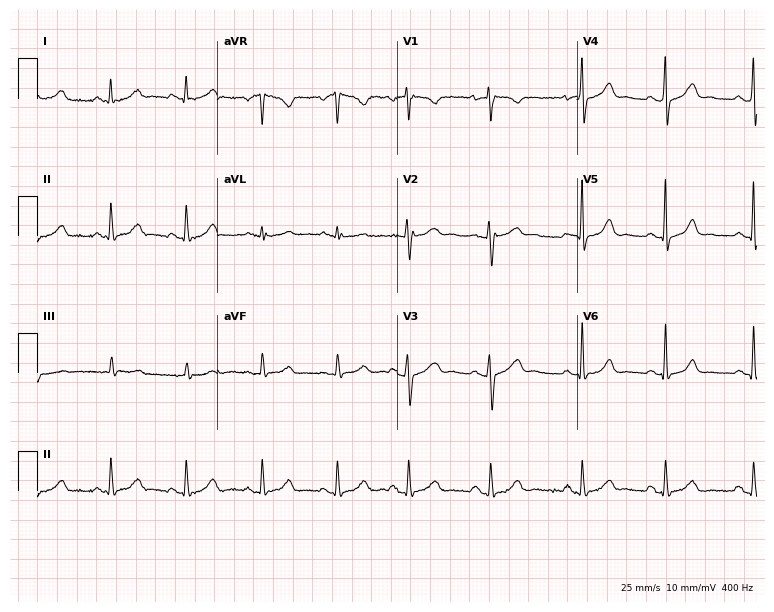
Resting 12-lead electrocardiogram (7.3-second recording at 400 Hz). Patient: a 34-year-old female. Read as a normal ECG.